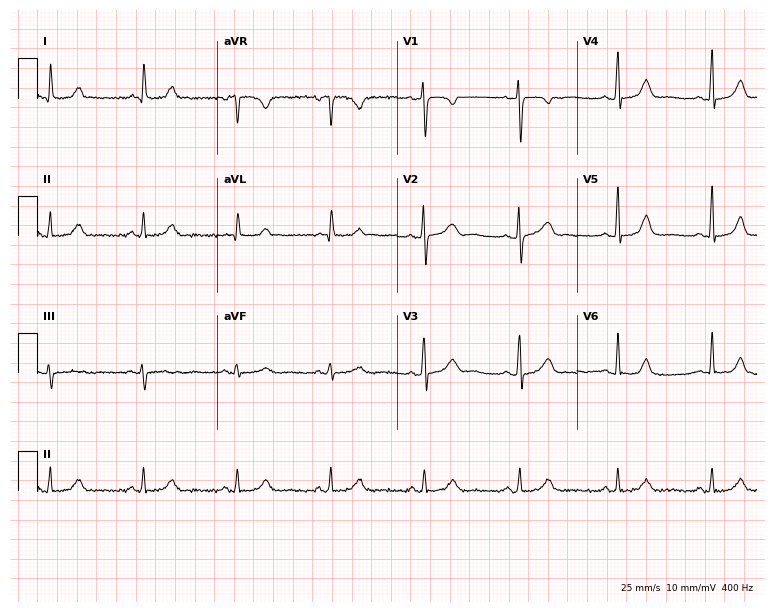
Electrocardiogram, a 56-year-old female. Overall reading on record: normal ECG.